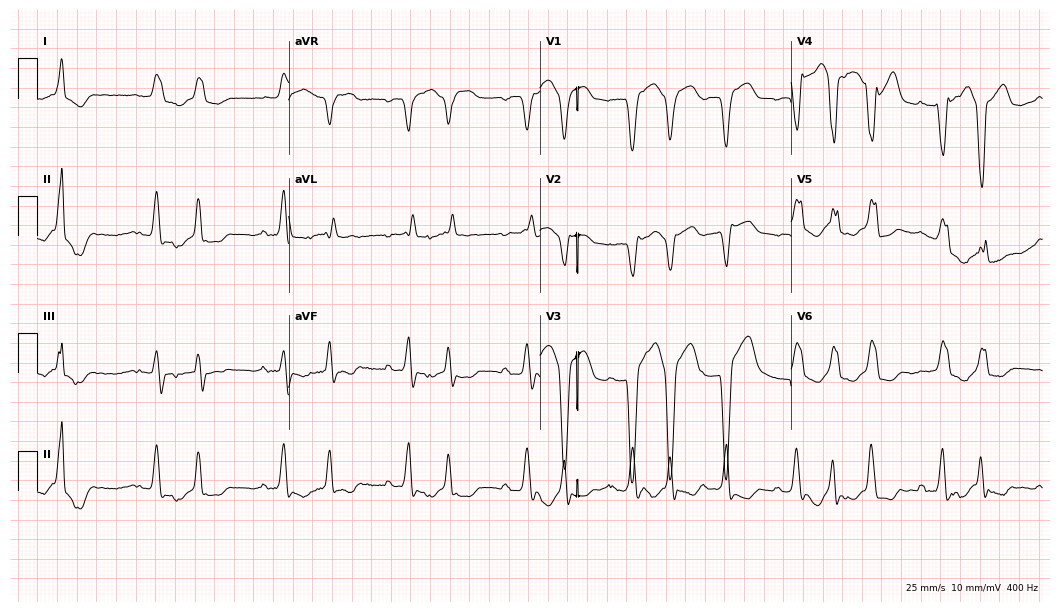
Electrocardiogram (10.2-second recording at 400 Hz), a 73-year-old male. Interpretation includes left bundle branch block, atrial fibrillation.